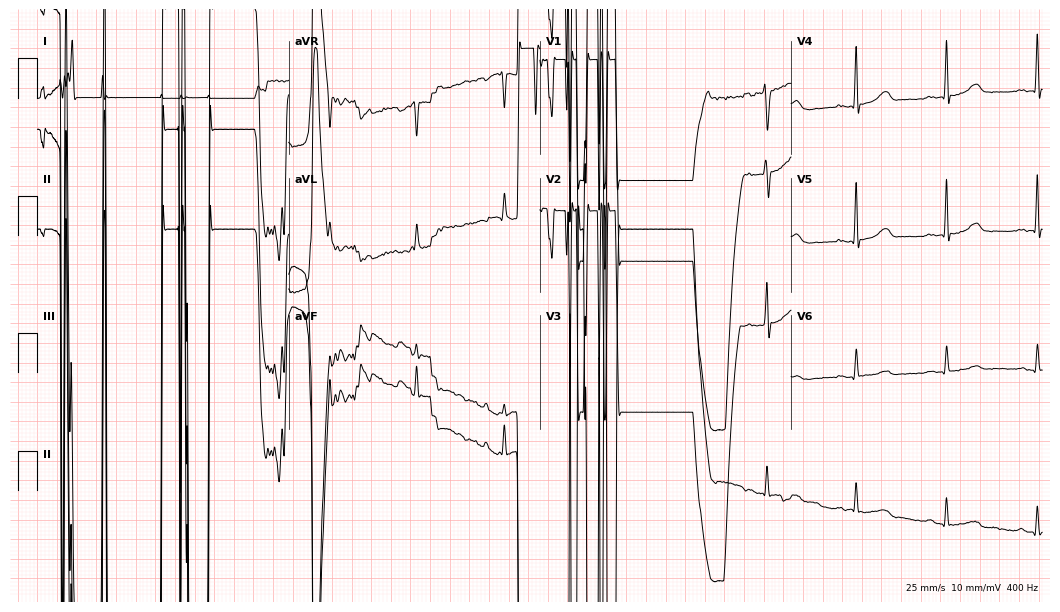
Standard 12-lead ECG recorded from a 57-year-old woman (10.2-second recording at 400 Hz). None of these six findings is recorded: first-degree AV block, right bundle branch block, left bundle branch block, sinus bradycardia, atrial fibrillation, sinus tachycardia. Only these six findings were labelled.